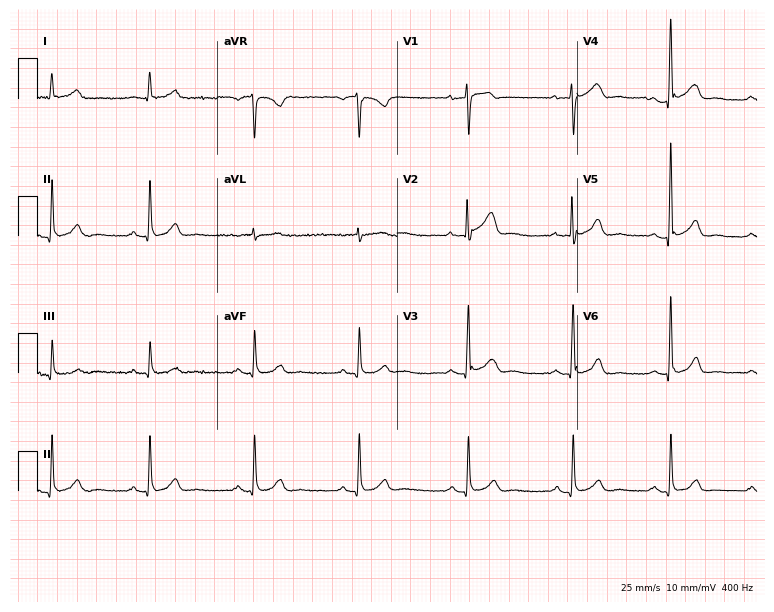
12-lead ECG from a 70-year-old male patient (7.3-second recording at 400 Hz). No first-degree AV block, right bundle branch block (RBBB), left bundle branch block (LBBB), sinus bradycardia, atrial fibrillation (AF) or sinus tachycardia recorded for this tracing.